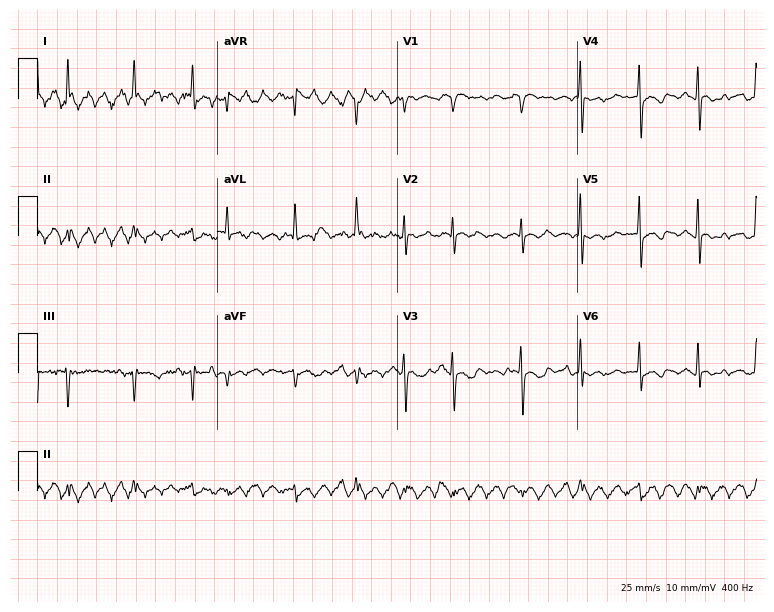
Resting 12-lead electrocardiogram. Patient: a man, 70 years old. The tracing shows atrial fibrillation (AF), sinus tachycardia (a sinus rate of 100 beats per minute or more).